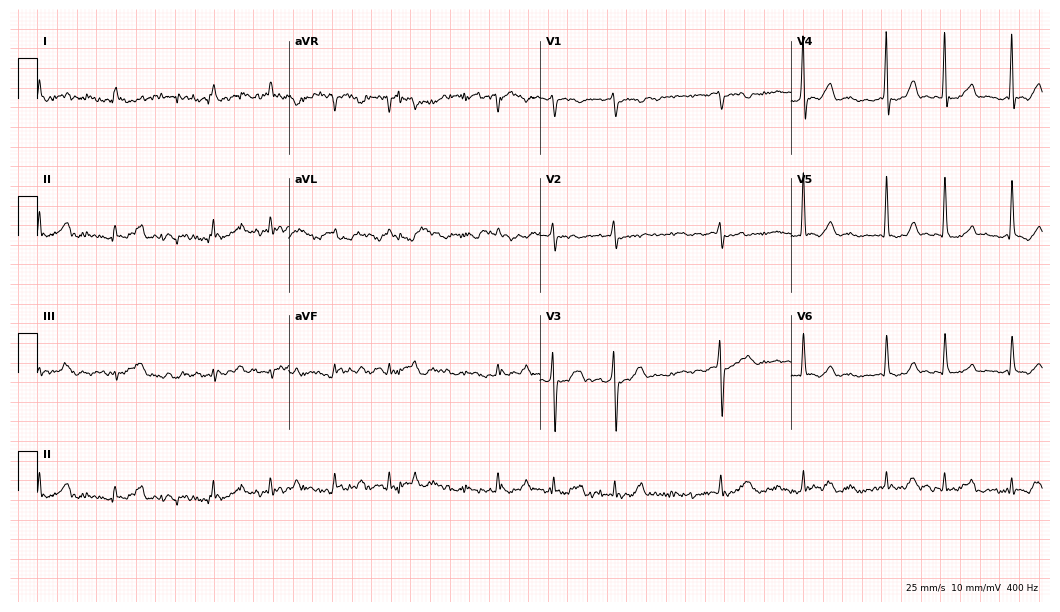
12-lead ECG from an 84-year-old female. Findings include atrial fibrillation.